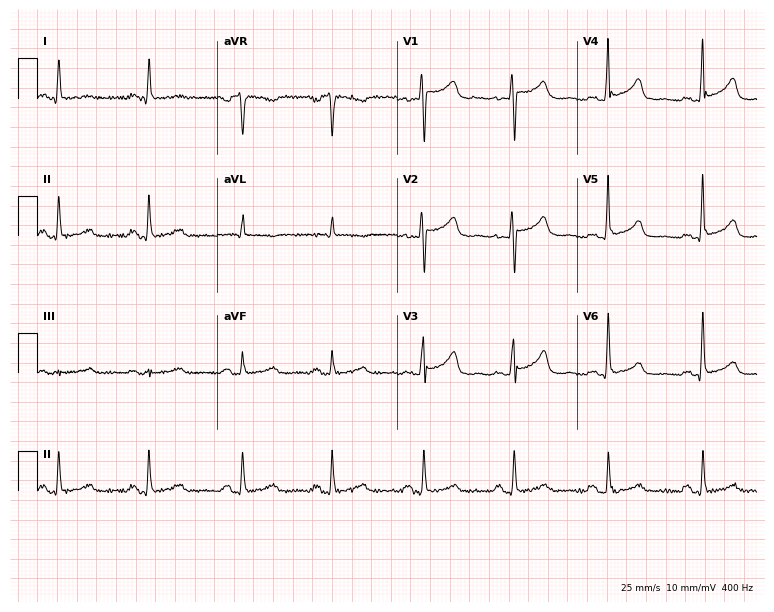
Resting 12-lead electrocardiogram (7.3-second recording at 400 Hz). Patient: a 45-year-old female. None of these six findings is recorded: first-degree AV block, right bundle branch block, left bundle branch block, sinus bradycardia, atrial fibrillation, sinus tachycardia.